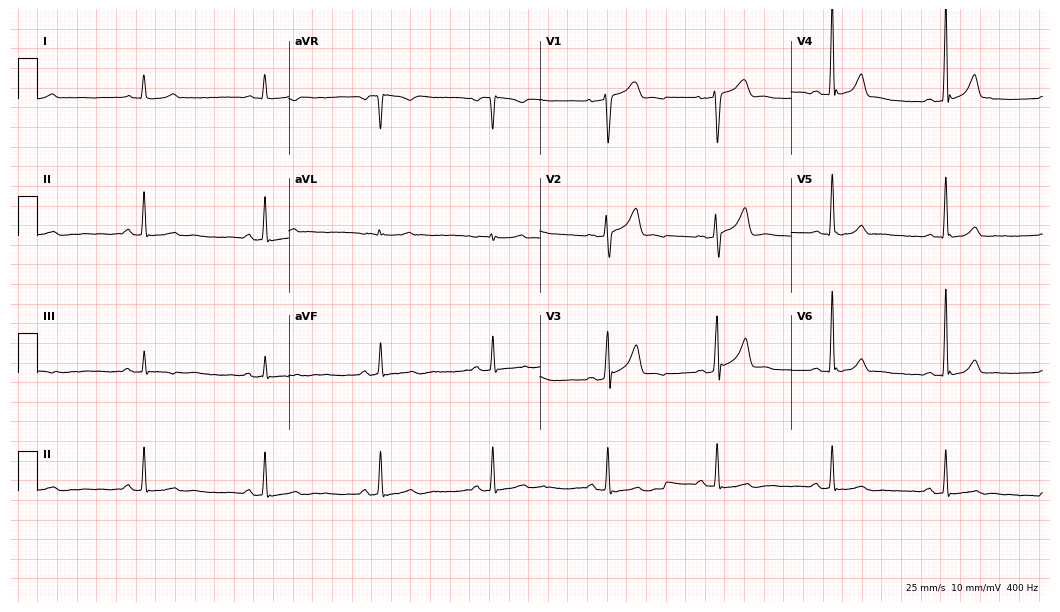
12-lead ECG from a male, 49 years old (10.2-second recording at 400 Hz). Recorded interpretation: within normal limits.